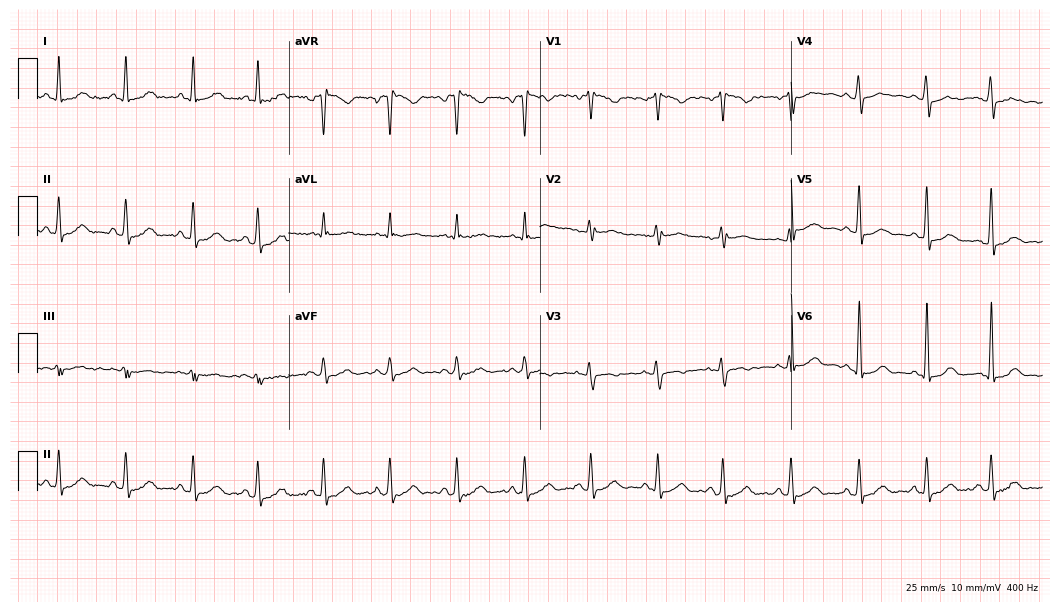
12-lead ECG (10.2-second recording at 400 Hz) from a woman, 50 years old. Screened for six findings — first-degree AV block, right bundle branch block, left bundle branch block, sinus bradycardia, atrial fibrillation, sinus tachycardia — none is recorded.